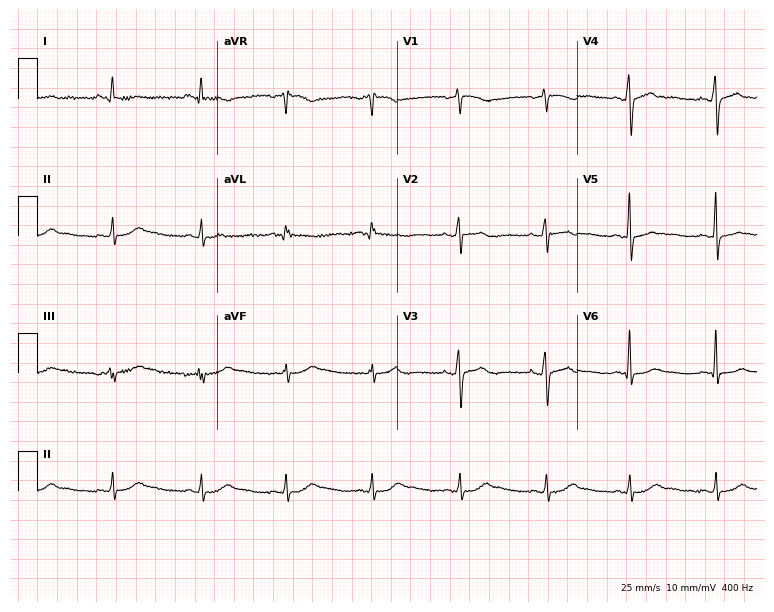
Resting 12-lead electrocardiogram. Patient: a female, 53 years old. Read as a normal ECG.